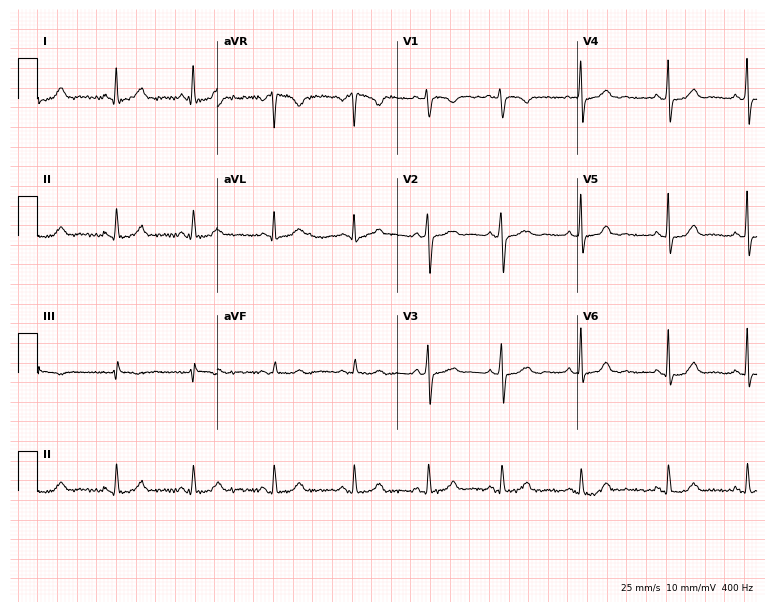
Electrocardiogram, a female, 32 years old. Overall reading on record: normal ECG.